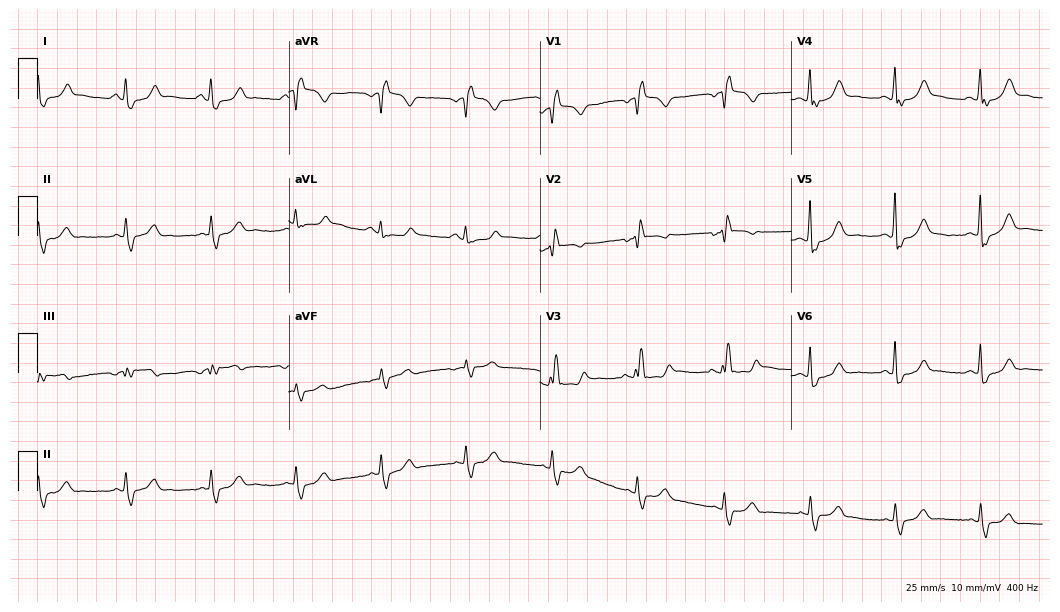
ECG — a 63-year-old woman. Findings include right bundle branch block (RBBB).